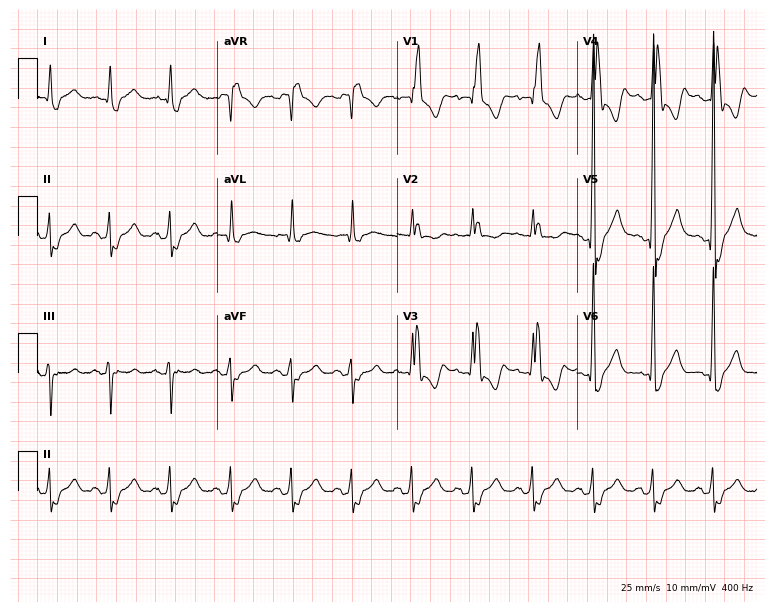
Resting 12-lead electrocardiogram. Patient: a male, 48 years old. The tracing shows right bundle branch block.